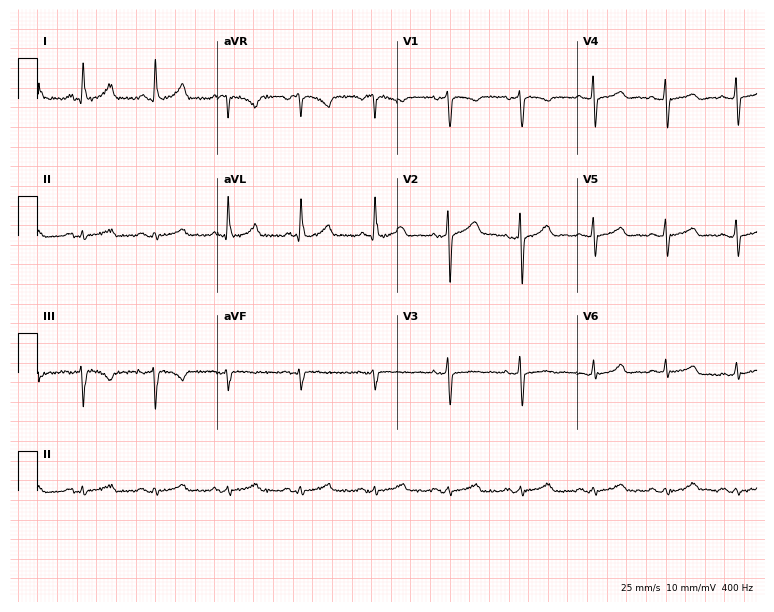
Standard 12-lead ECG recorded from a female, 62 years old. None of these six findings is recorded: first-degree AV block, right bundle branch block, left bundle branch block, sinus bradycardia, atrial fibrillation, sinus tachycardia.